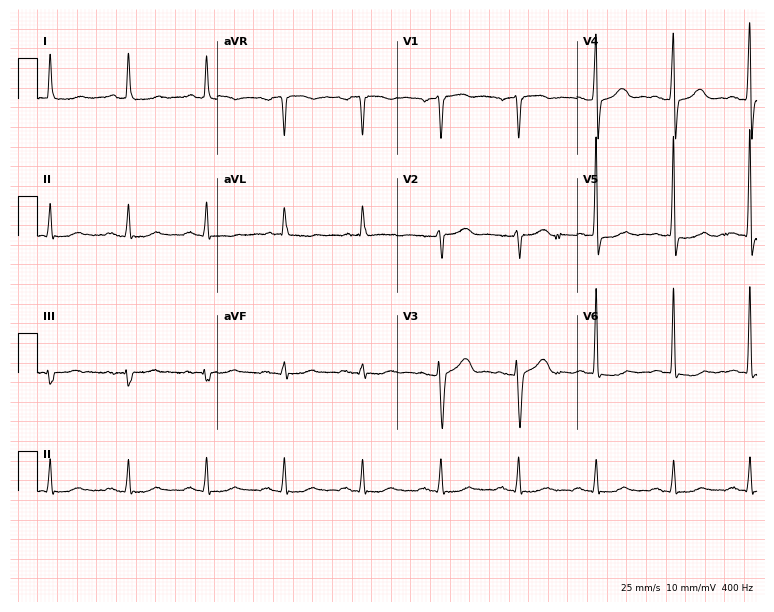
12-lead ECG from a 51-year-old female patient. Screened for six findings — first-degree AV block, right bundle branch block, left bundle branch block, sinus bradycardia, atrial fibrillation, sinus tachycardia — none is recorded. Findings outside these six are not listed.